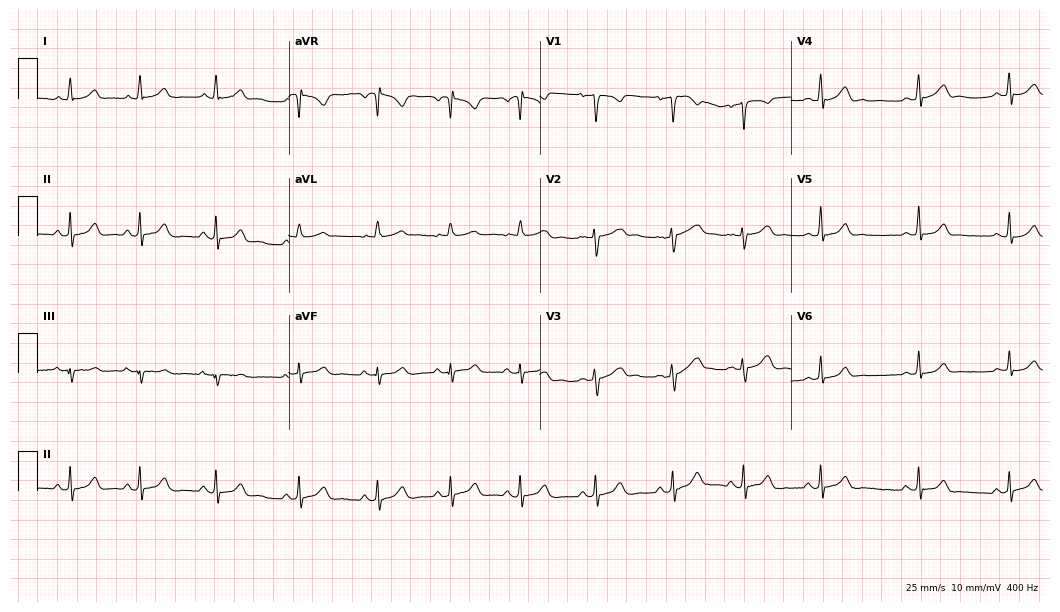
Electrocardiogram (10.2-second recording at 400 Hz), a 30-year-old woman. Of the six screened findings (first-degree AV block, right bundle branch block, left bundle branch block, sinus bradycardia, atrial fibrillation, sinus tachycardia), none is recorded.